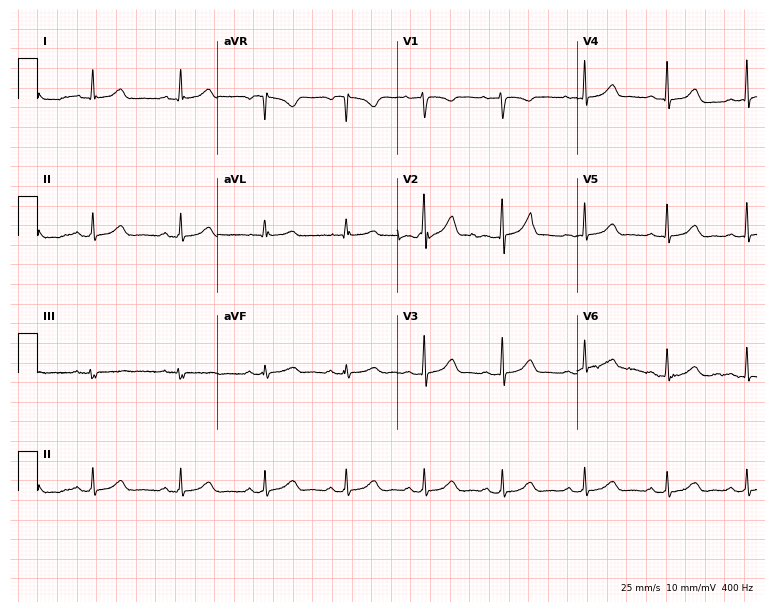
ECG (7.3-second recording at 400 Hz) — a woman, 34 years old. Screened for six findings — first-degree AV block, right bundle branch block (RBBB), left bundle branch block (LBBB), sinus bradycardia, atrial fibrillation (AF), sinus tachycardia — none is recorded.